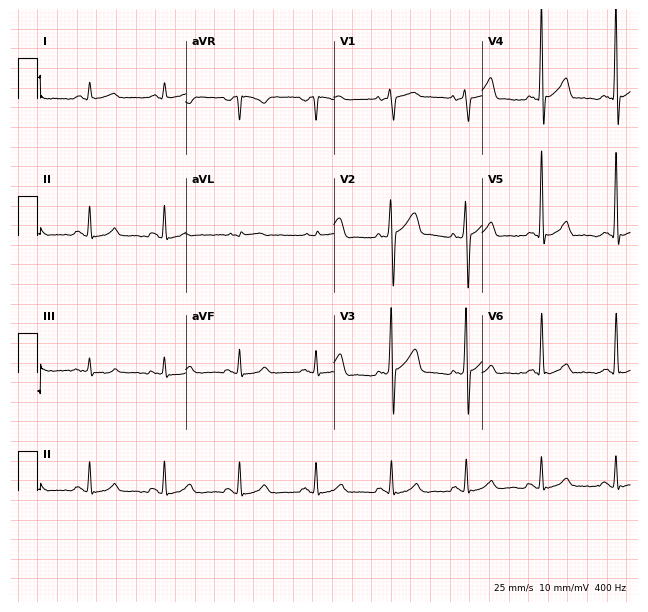
Resting 12-lead electrocardiogram (6-second recording at 400 Hz). Patient: a male, 54 years old. Read as a normal ECG.